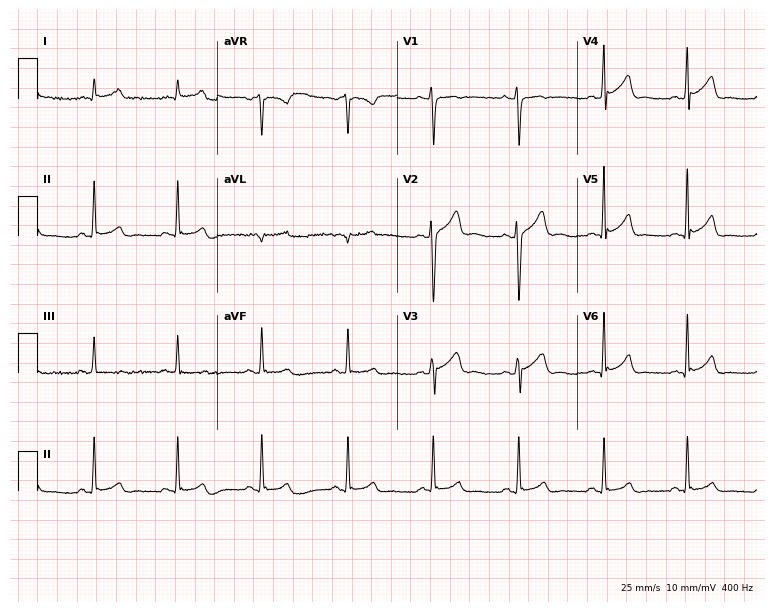
12-lead ECG from a male, 29 years old. No first-degree AV block, right bundle branch block (RBBB), left bundle branch block (LBBB), sinus bradycardia, atrial fibrillation (AF) or sinus tachycardia recorded for this tracing. Only these six findings were labelled.